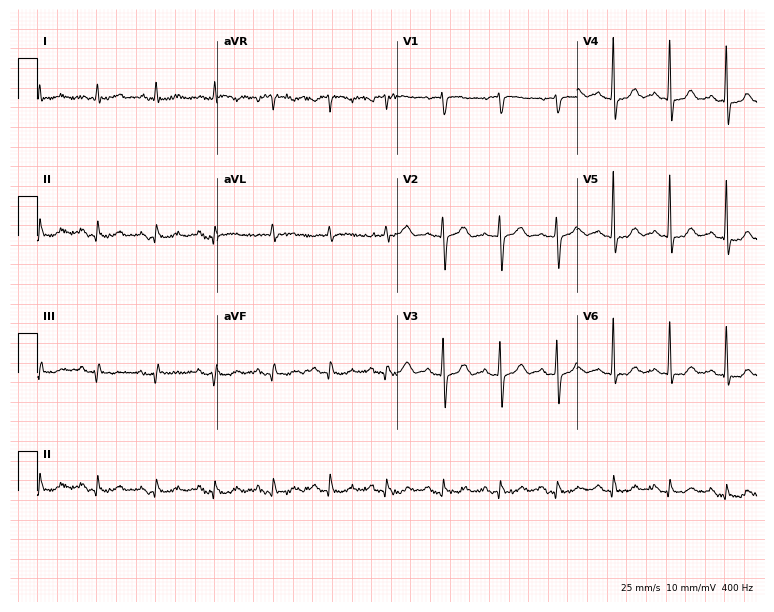
12-lead ECG from a man, 85 years old. Shows sinus tachycardia (a sinus rate of 100 beats per minute or more).